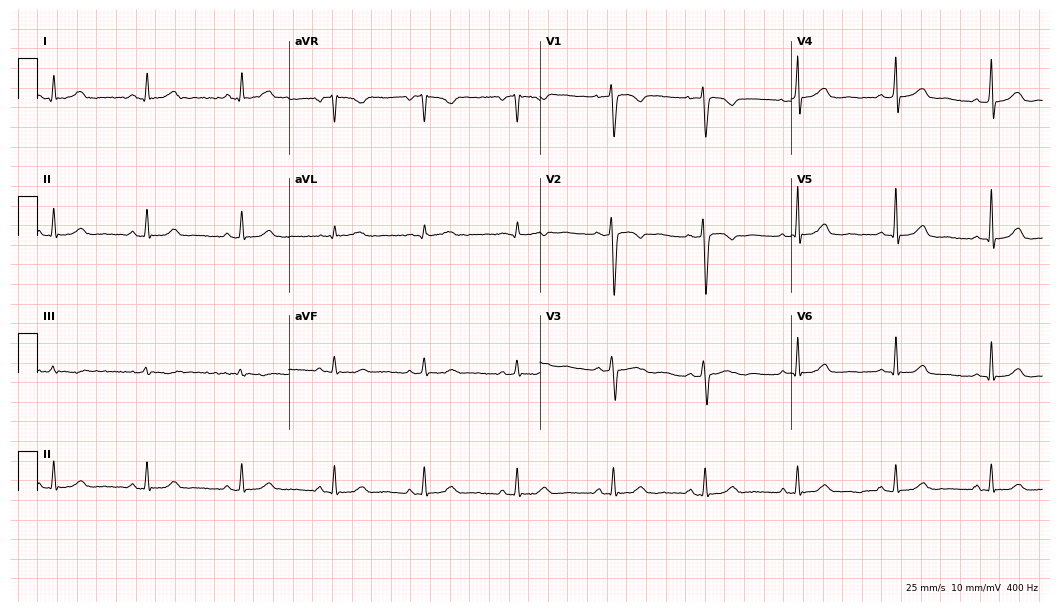
Electrocardiogram, a female patient, 41 years old. Of the six screened findings (first-degree AV block, right bundle branch block, left bundle branch block, sinus bradycardia, atrial fibrillation, sinus tachycardia), none is recorded.